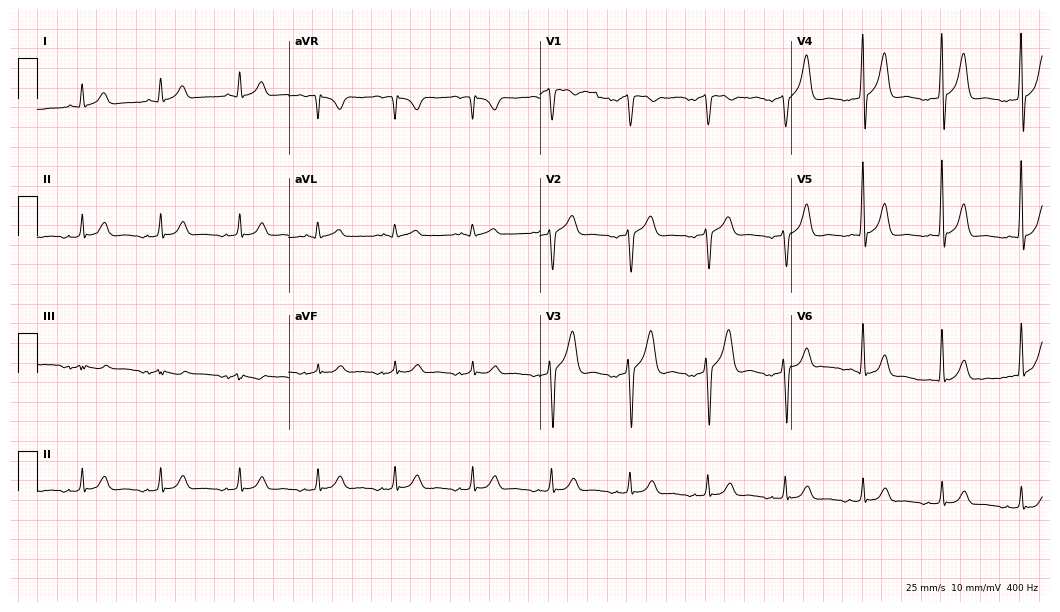
12-lead ECG from a 54-year-old male. Recorded interpretation: within normal limits.